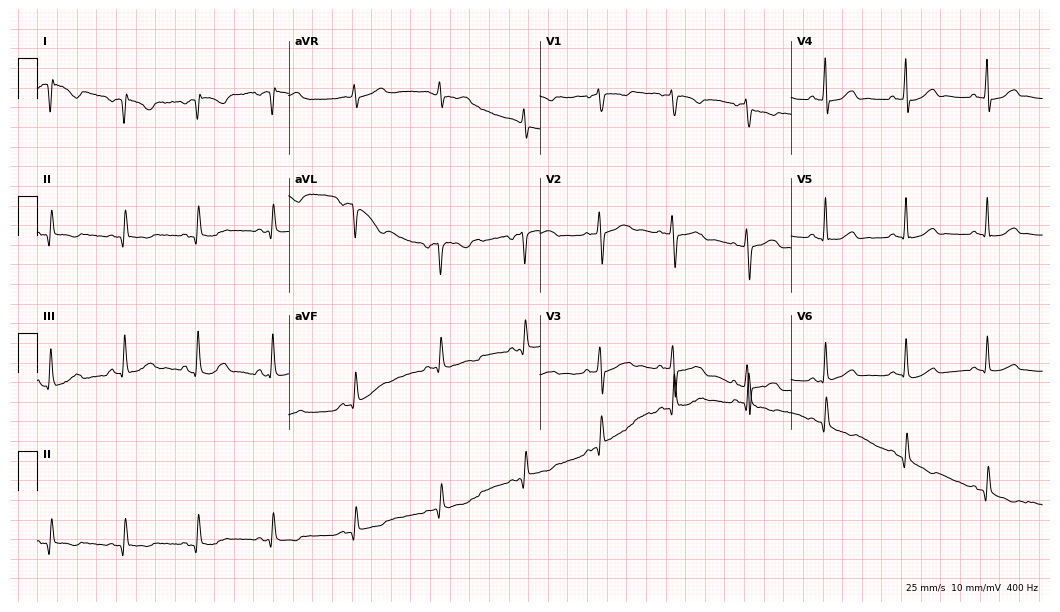
12-lead ECG from a 46-year-old female patient. No first-degree AV block, right bundle branch block, left bundle branch block, sinus bradycardia, atrial fibrillation or sinus tachycardia recorded for this tracing. Other findings, if any, are not listed.